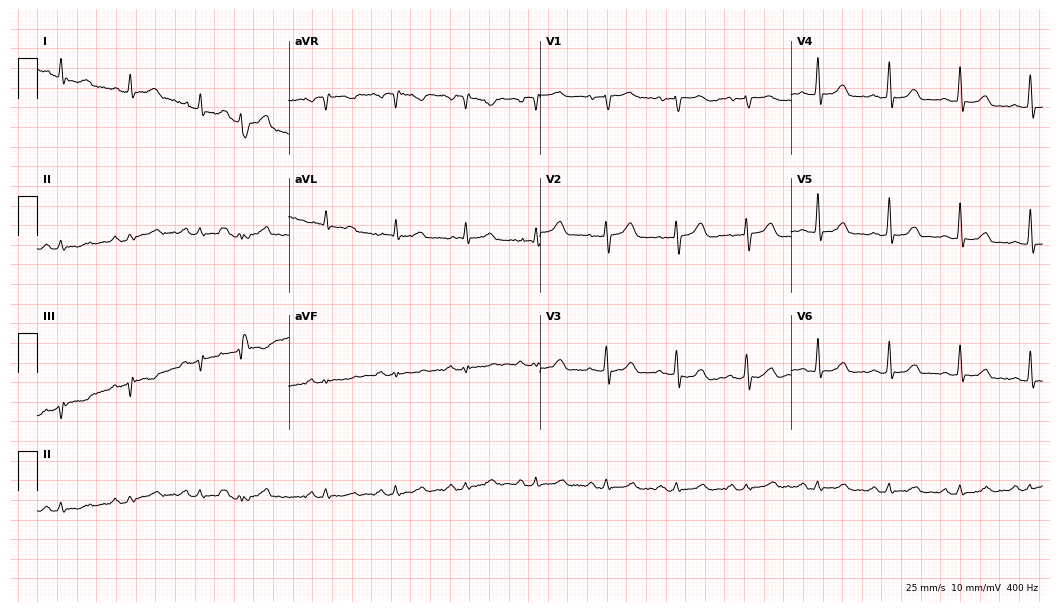
ECG — a male patient, 70 years old. Screened for six findings — first-degree AV block, right bundle branch block, left bundle branch block, sinus bradycardia, atrial fibrillation, sinus tachycardia — none is recorded. Only these six findings were labelled.